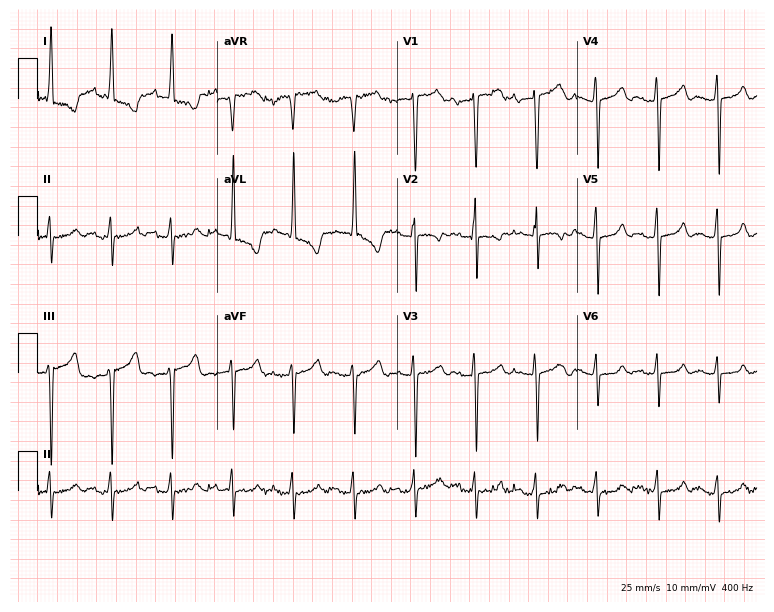
12-lead ECG from a 67-year-old man. No first-degree AV block, right bundle branch block, left bundle branch block, sinus bradycardia, atrial fibrillation or sinus tachycardia recorded for this tracing. Only these six findings were labelled.